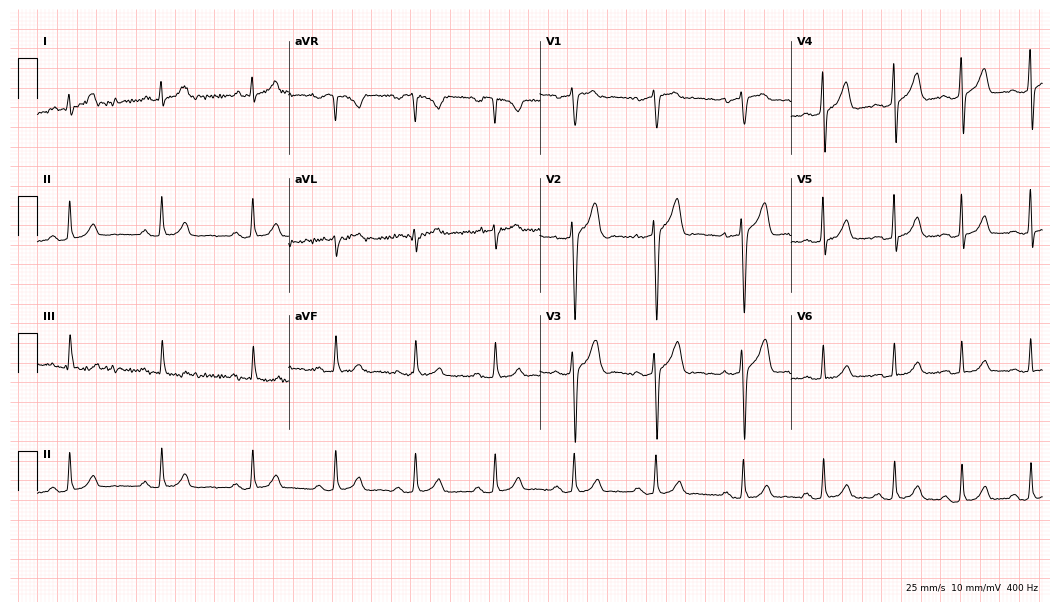
Standard 12-lead ECG recorded from a male patient, 38 years old. Read as a normal ECG.